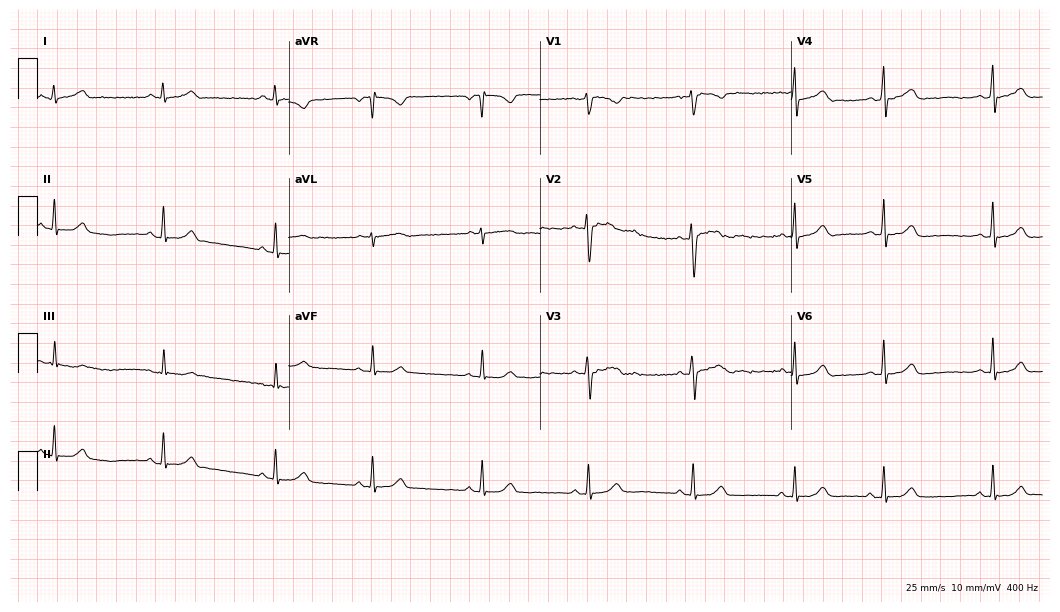
12-lead ECG from a 25-year-old woman. Labelled as a normal ECG.